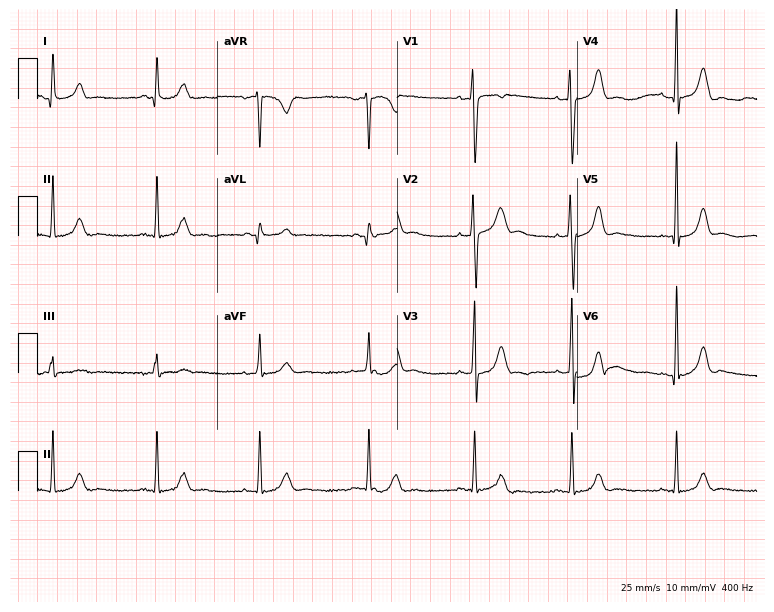
12-lead ECG from a 23-year-old woman. Screened for six findings — first-degree AV block, right bundle branch block, left bundle branch block, sinus bradycardia, atrial fibrillation, sinus tachycardia — none is recorded. Only these six findings were labelled.